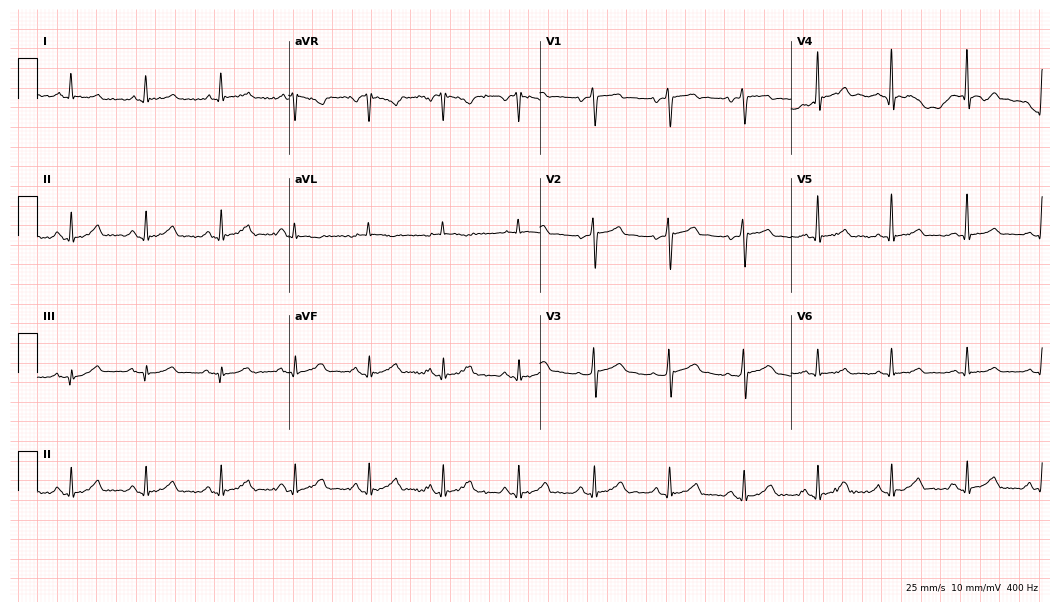
Electrocardiogram, a 54-year-old man. Overall reading on record: normal ECG.